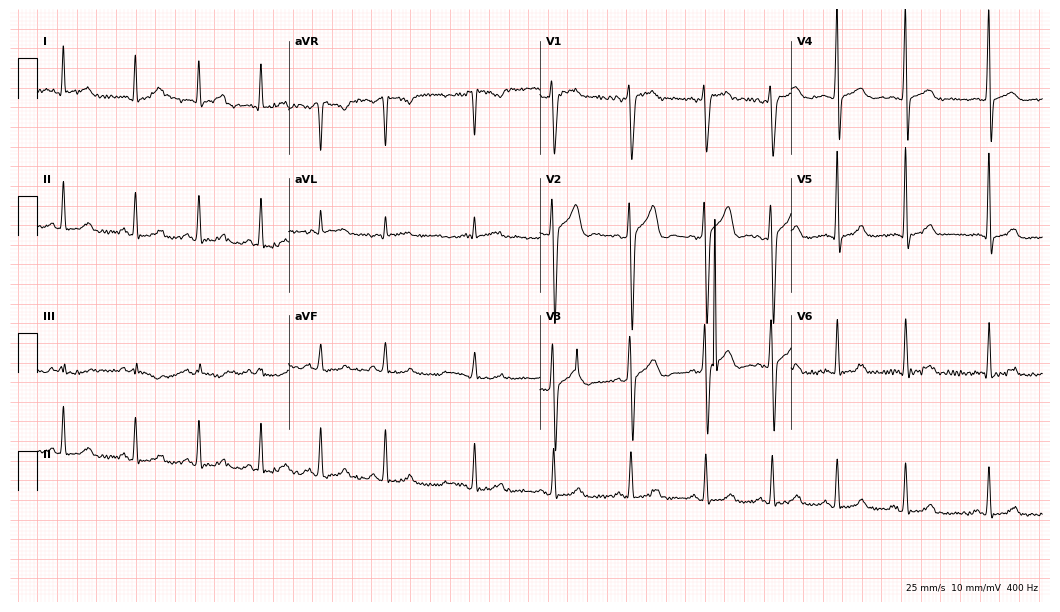
Standard 12-lead ECG recorded from a man, 25 years old (10.2-second recording at 400 Hz). Read as a normal ECG.